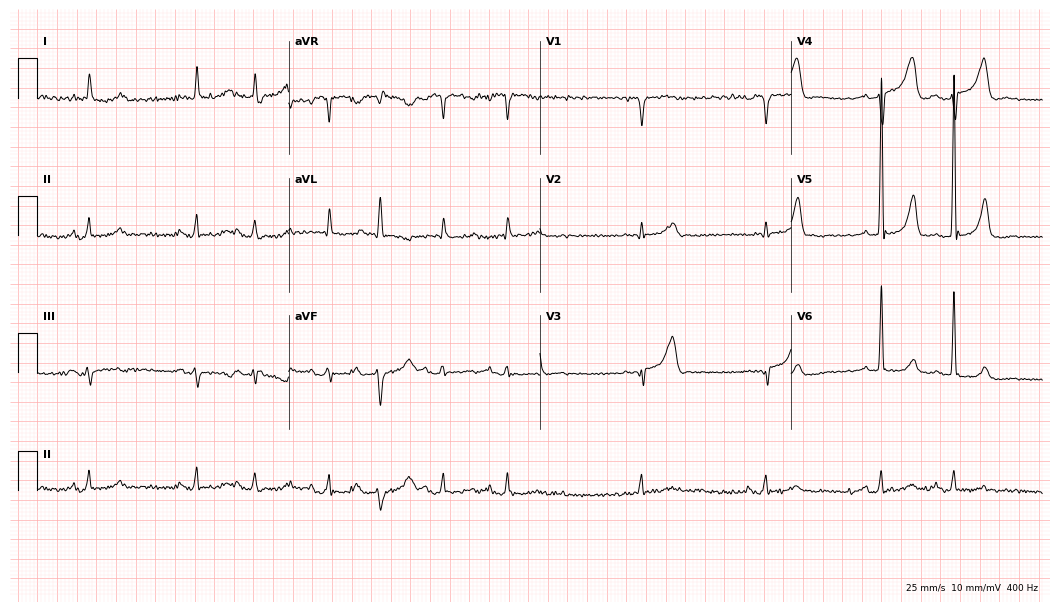
Resting 12-lead electrocardiogram (10.2-second recording at 400 Hz). Patient: a 71-year-old male. None of these six findings is recorded: first-degree AV block, right bundle branch block, left bundle branch block, sinus bradycardia, atrial fibrillation, sinus tachycardia. Other findings, if any, are not listed.